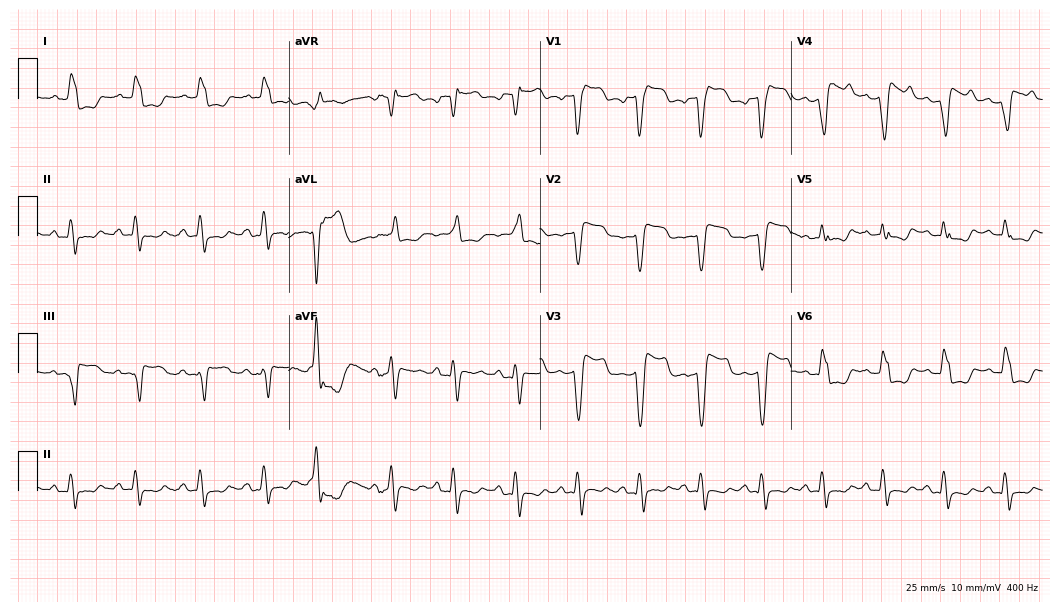
Electrocardiogram (10.2-second recording at 400 Hz), a 78-year-old man. Interpretation includes left bundle branch block.